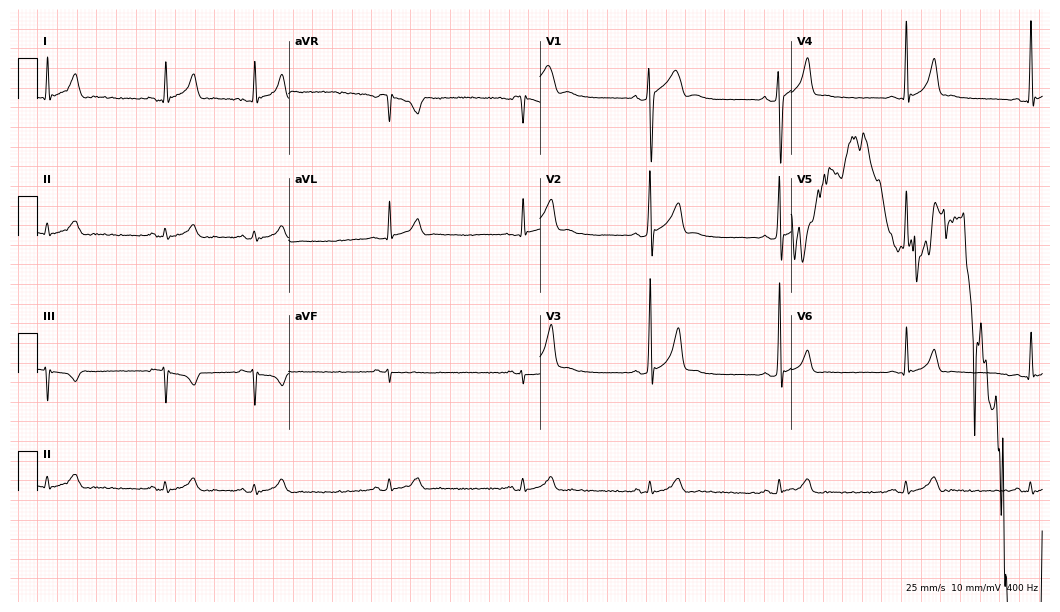
Standard 12-lead ECG recorded from a 19-year-old female (10.2-second recording at 400 Hz). Read as a normal ECG.